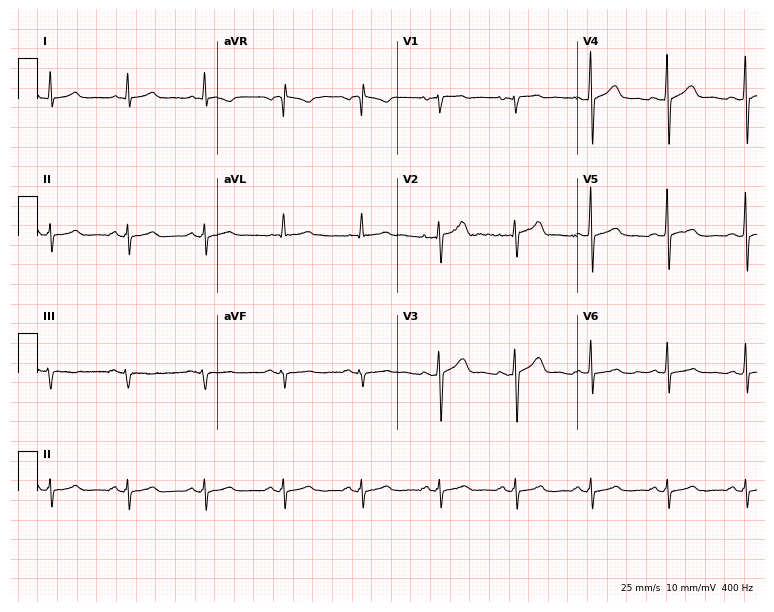
Resting 12-lead electrocardiogram (7.3-second recording at 400 Hz). Patient: a 49-year-old man. None of these six findings is recorded: first-degree AV block, right bundle branch block, left bundle branch block, sinus bradycardia, atrial fibrillation, sinus tachycardia. Findings outside these six are not listed.